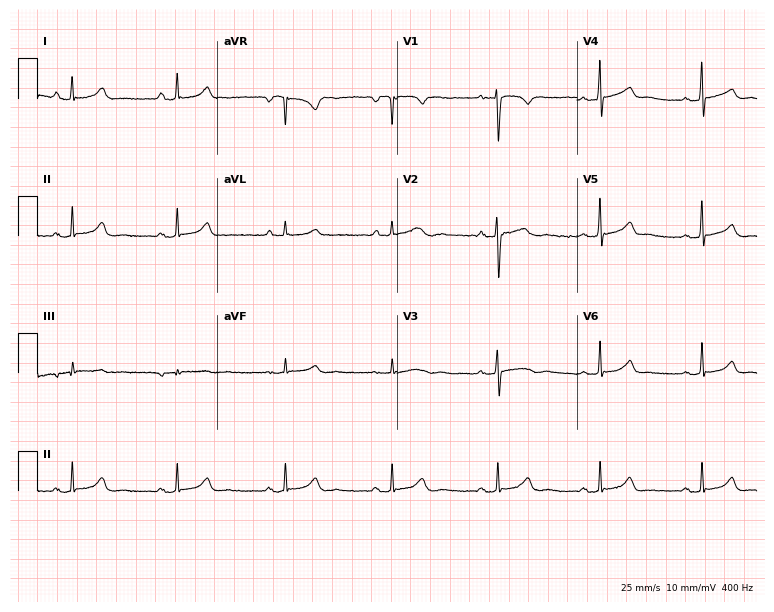
Resting 12-lead electrocardiogram. Patient: a female, 47 years old. None of these six findings is recorded: first-degree AV block, right bundle branch block (RBBB), left bundle branch block (LBBB), sinus bradycardia, atrial fibrillation (AF), sinus tachycardia. Other findings, if any, are not listed.